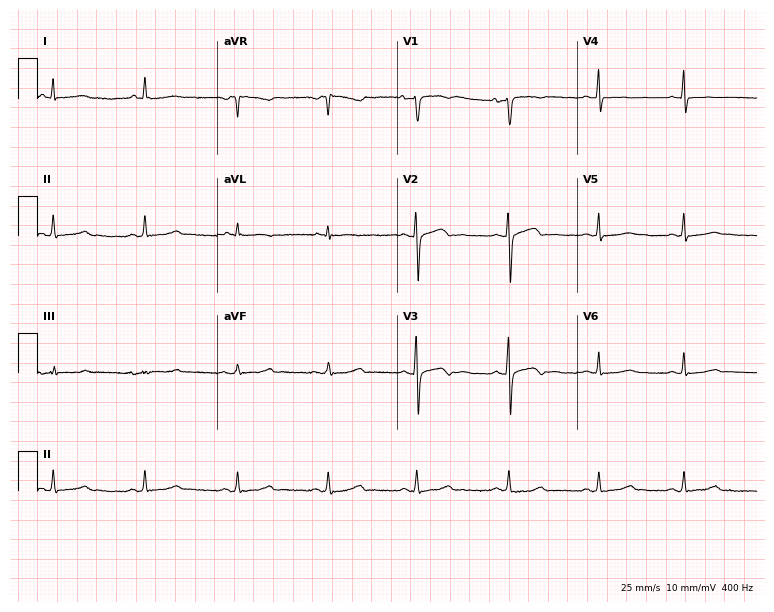
12-lead ECG from a 24-year-old woman (7.3-second recording at 400 Hz). No first-degree AV block, right bundle branch block (RBBB), left bundle branch block (LBBB), sinus bradycardia, atrial fibrillation (AF) or sinus tachycardia recorded for this tracing. Other findings, if any, are not listed.